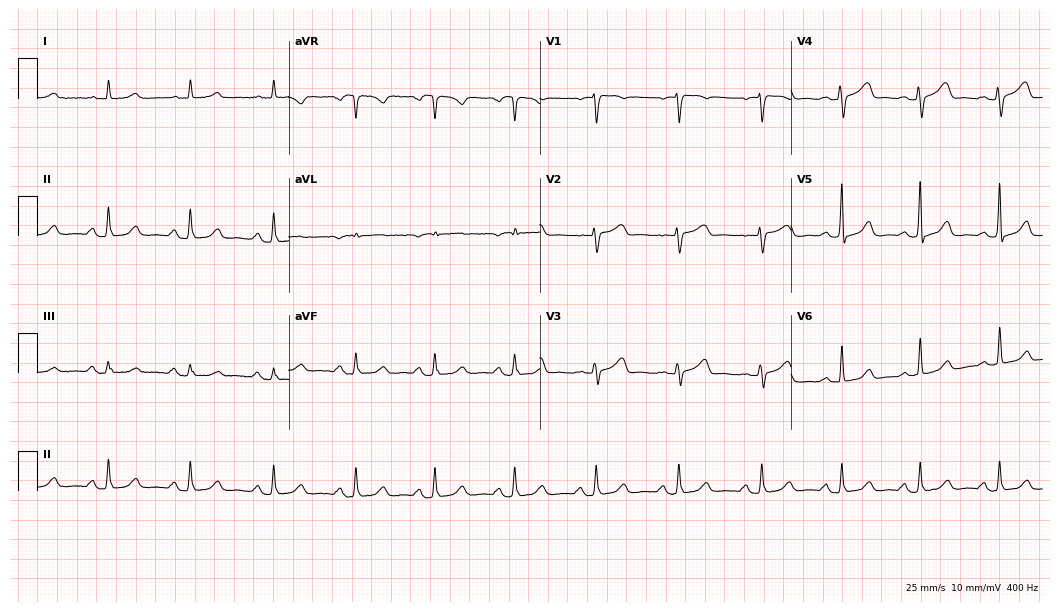
Resting 12-lead electrocardiogram. Patient: a female, 64 years old. Read as a normal ECG.